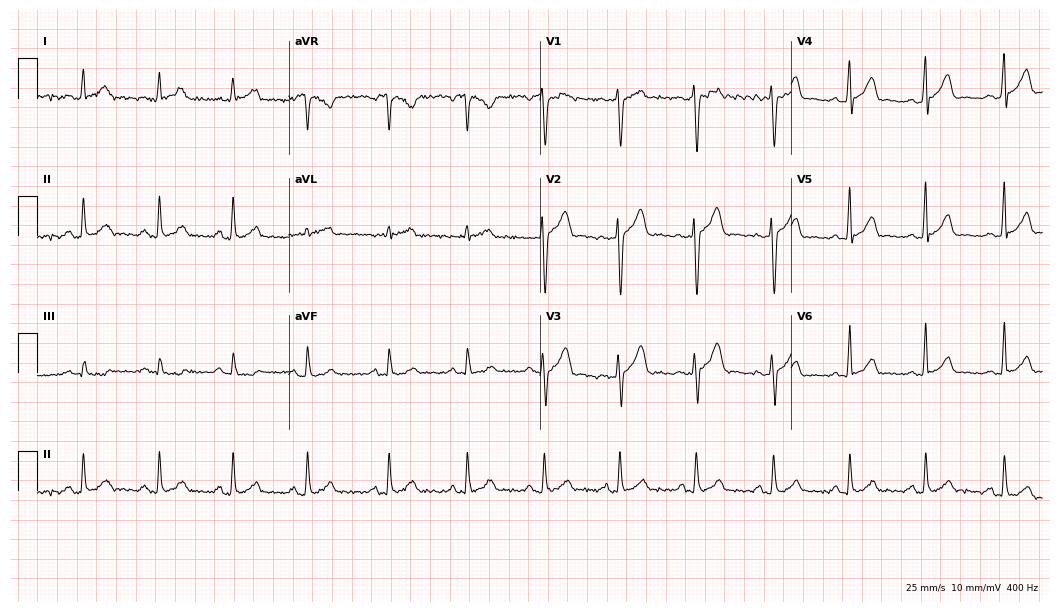
12-lead ECG (10.2-second recording at 400 Hz) from a 24-year-old male patient. Labelled as a normal ECG.